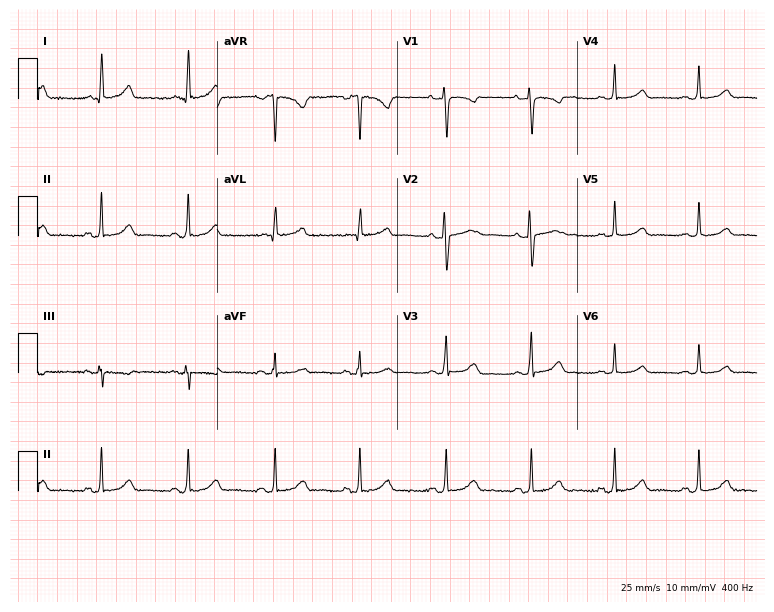
12-lead ECG from a female patient, 28 years old (7.3-second recording at 400 Hz). No first-degree AV block, right bundle branch block (RBBB), left bundle branch block (LBBB), sinus bradycardia, atrial fibrillation (AF) or sinus tachycardia recorded for this tracing. Other findings, if any, are not listed.